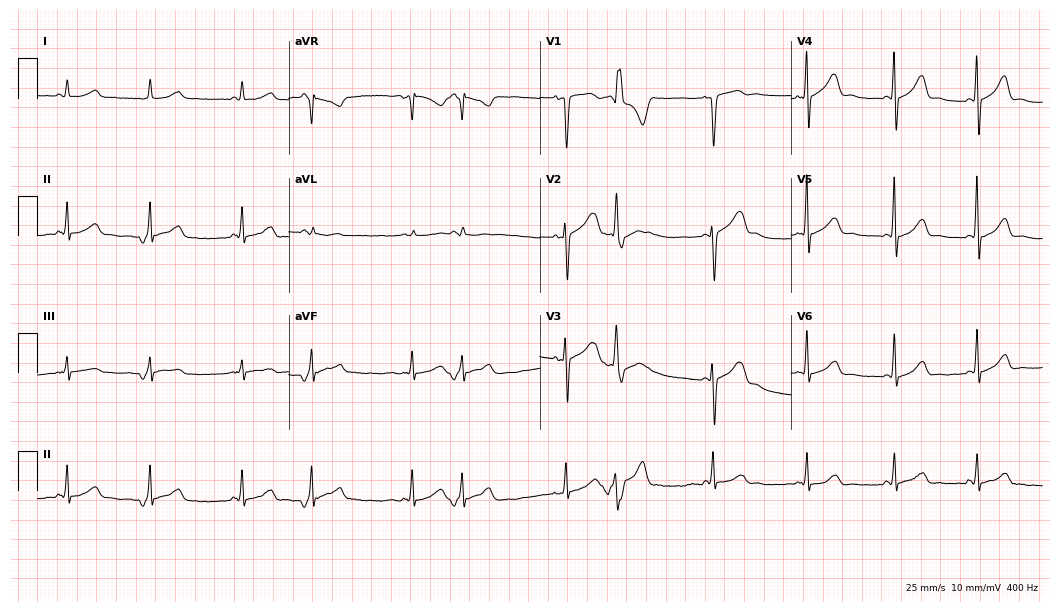
Resting 12-lead electrocardiogram. Patient: a male, 80 years old. Read as a normal ECG.